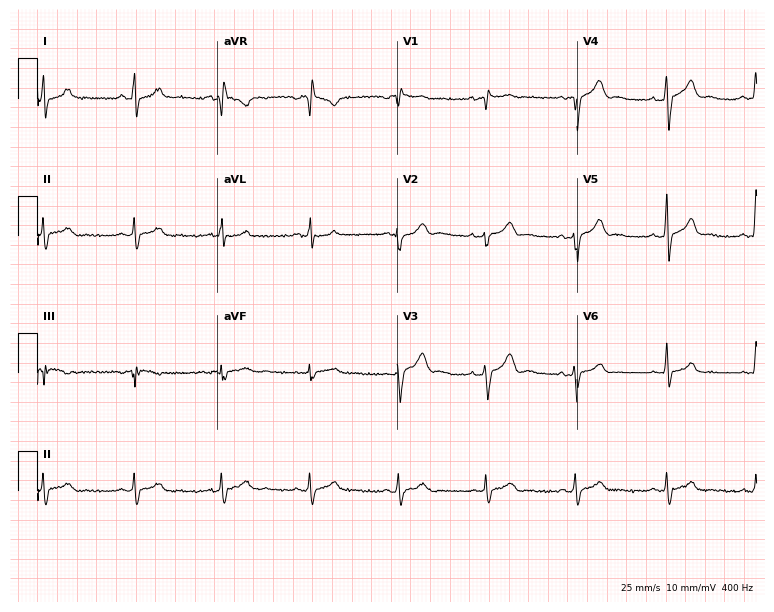
Standard 12-lead ECG recorded from a male patient, 35 years old. None of these six findings is recorded: first-degree AV block, right bundle branch block (RBBB), left bundle branch block (LBBB), sinus bradycardia, atrial fibrillation (AF), sinus tachycardia. Other findings, if any, are not listed.